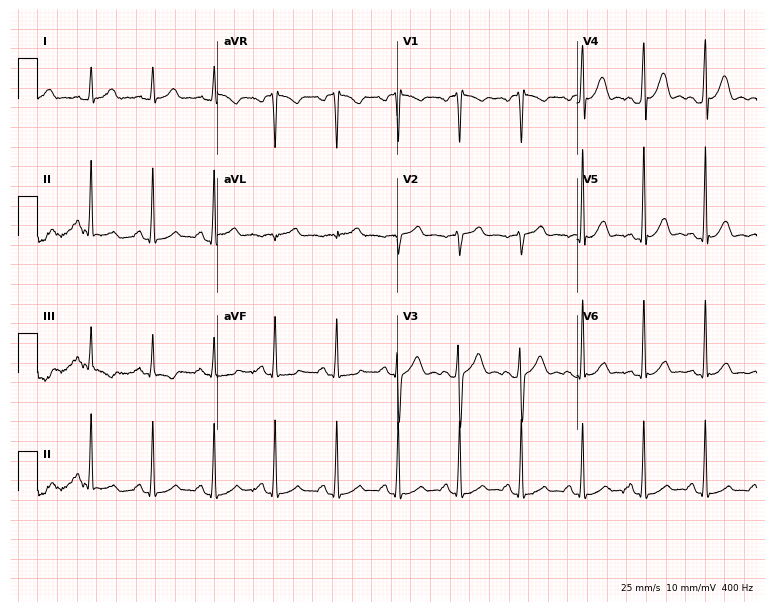
12-lead ECG from a male, 56 years old (7.3-second recording at 400 Hz). No first-degree AV block, right bundle branch block, left bundle branch block, sinus bradycardia, atrial fibrillation or sinus tachycardia recorded for this tracing.